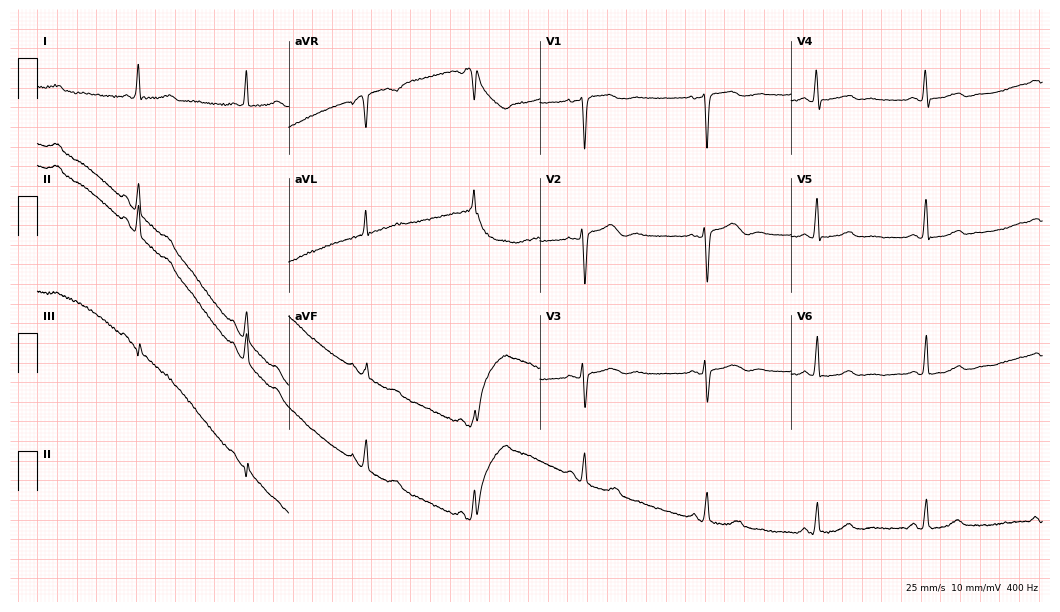
ECG (10.2-second recording at 400 Hz) — a 65-year-old female. Screened for six findings — first-degree AV block, right bundle branch block (RBBB), left bundle branch block (LBBB), sinus bradycardia, atrial fibrillation (AF), sinus tachycardia — none is recorded.